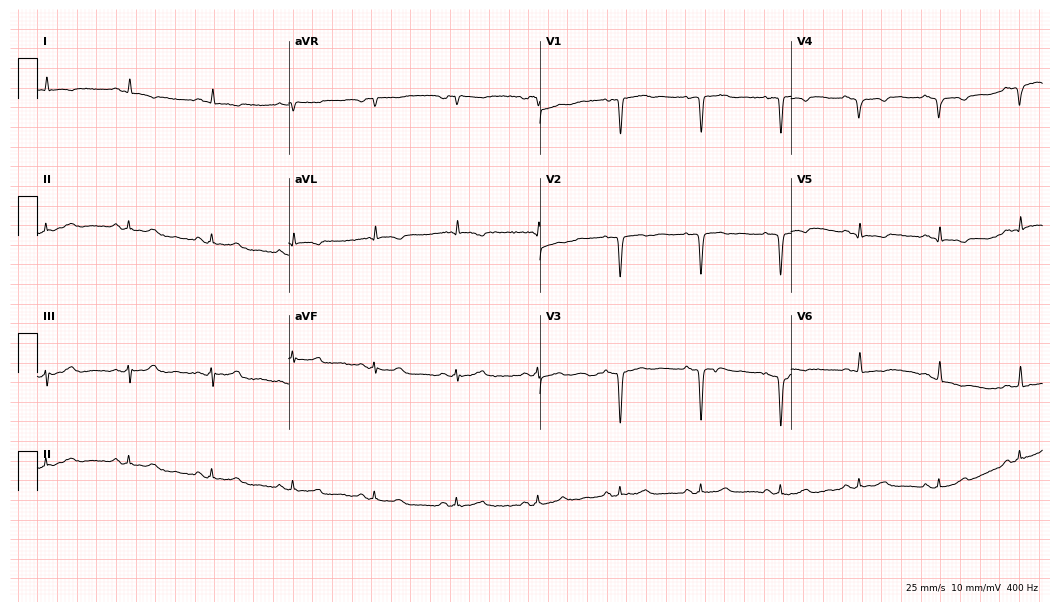
Resting 12-lead electrocardiogram (10.2-second recording at 400 Hz). Patient: a 60-year-old man. None of these six findings is recorded: first-degree AV block, right bundle branch block, left bundle branch block, sinus bradycardia, atrial fibrillation, sinus tachycardia. Other findings, if any, are not listed.